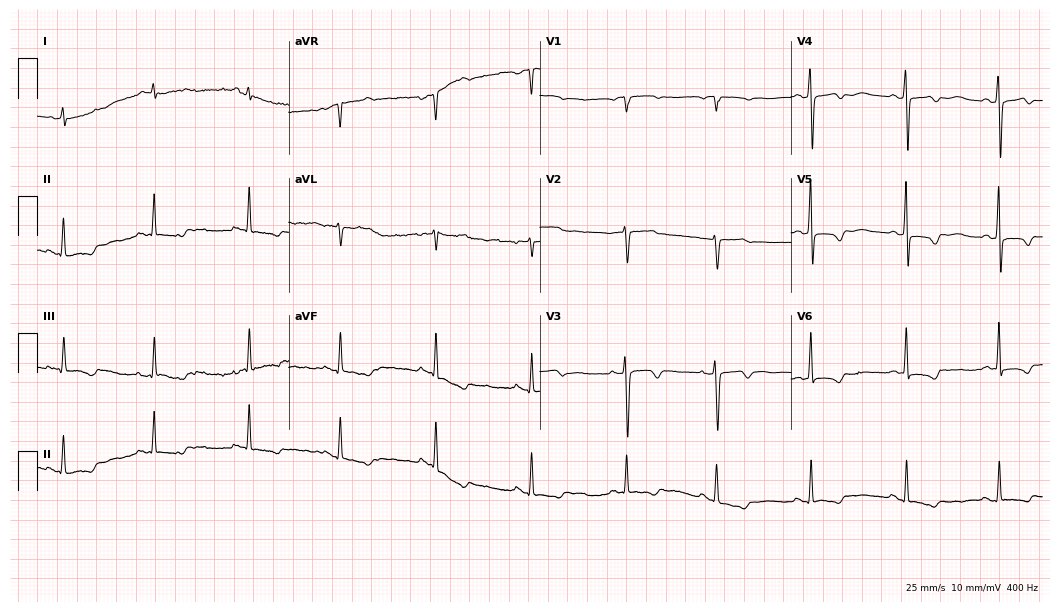
Resting 12-lead electrocardiogram. Patient: a woman, 75 years old. None of these six findings is recorded: first-degree AV block, right bundle branch block (RBBB), left bundle branch block (LBBB), sinus bradycardia, atrial fibrillation (AF), sinus tachycardia.